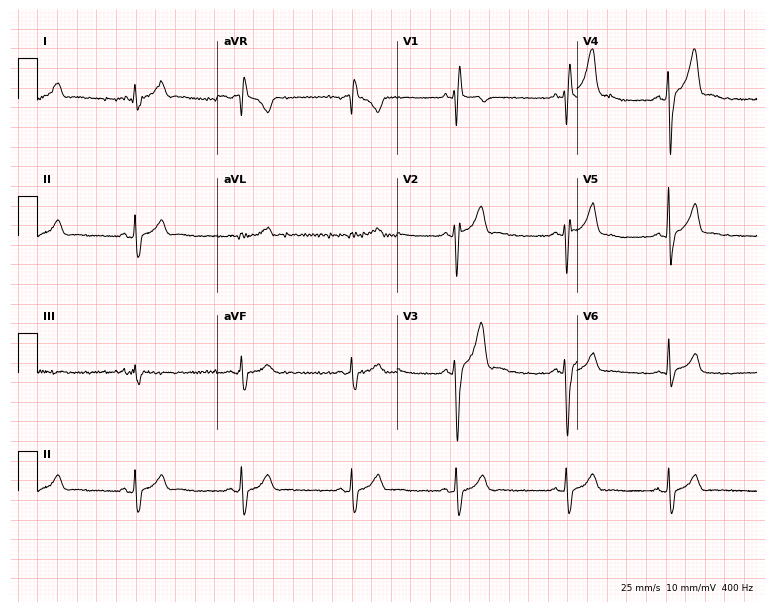
12-lead ECG from a 19-year-old man (7.3-second recording at 400 Hz). No first-degree AV block, right bundle branch block, left bundle branch block, sinus bradycardia, atrial fibrillation or sinus tachycardia recorded for this tracing. Other findings, if any, are not listed.